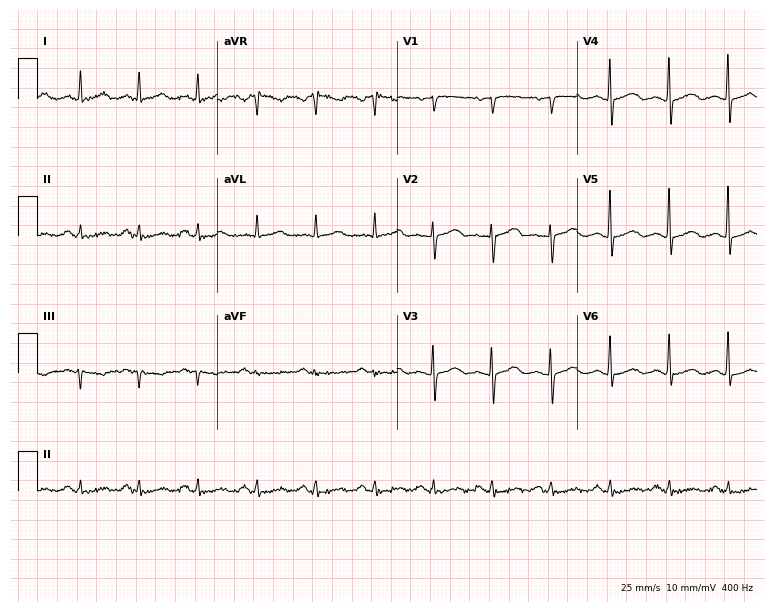
Standard 12-lead ECG recorded from an 80-year-old female patient. Read as a normal ECG.